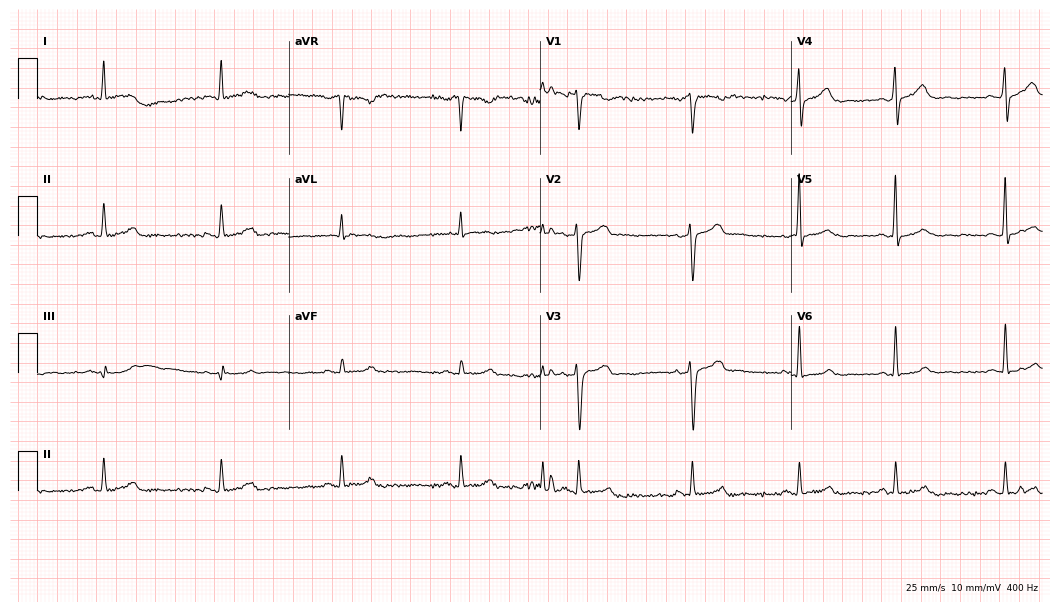
Resting 12-lead electrocardiogram. Patient: a 42-year-old male. None of these six findings is recorded: first-degree AV block, right bundle branch block (RBBB), left bundle branch block (LBBB), sinus bradycardia, atrial fibrillation (AF), sinus tachycardia. Only these six findings were labelled.